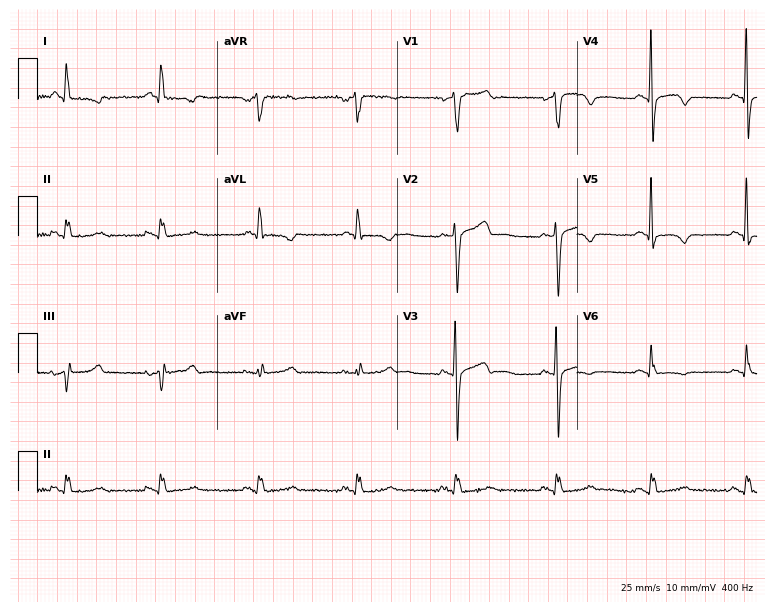
12-lead ECG from a male, 67 years old. No first-degree AV block, right bundle branch block, left bundle branch block, sinus bradycardia, atrial fibrillation or sinus tachycardia recorded for this tracing. Only these six findings were labelled.